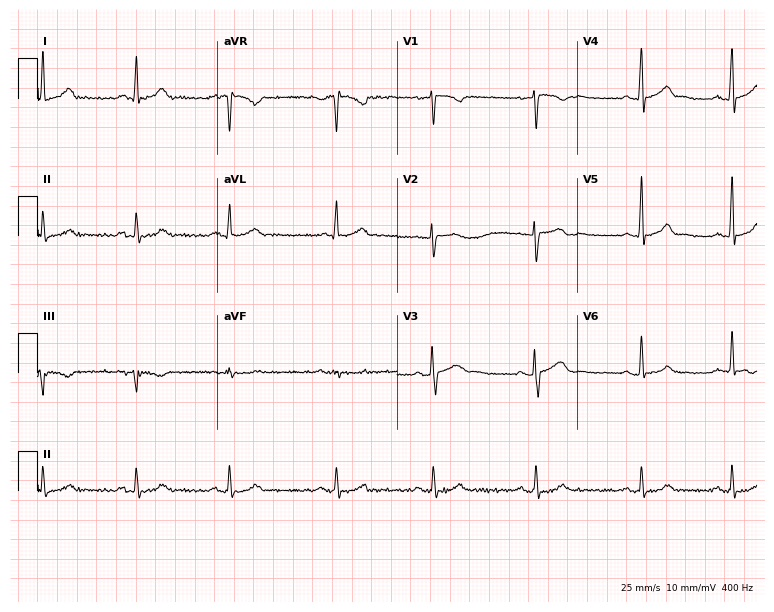
Electrocardiogram, a female, 31 years old. Overall reading on record: normal ECG.